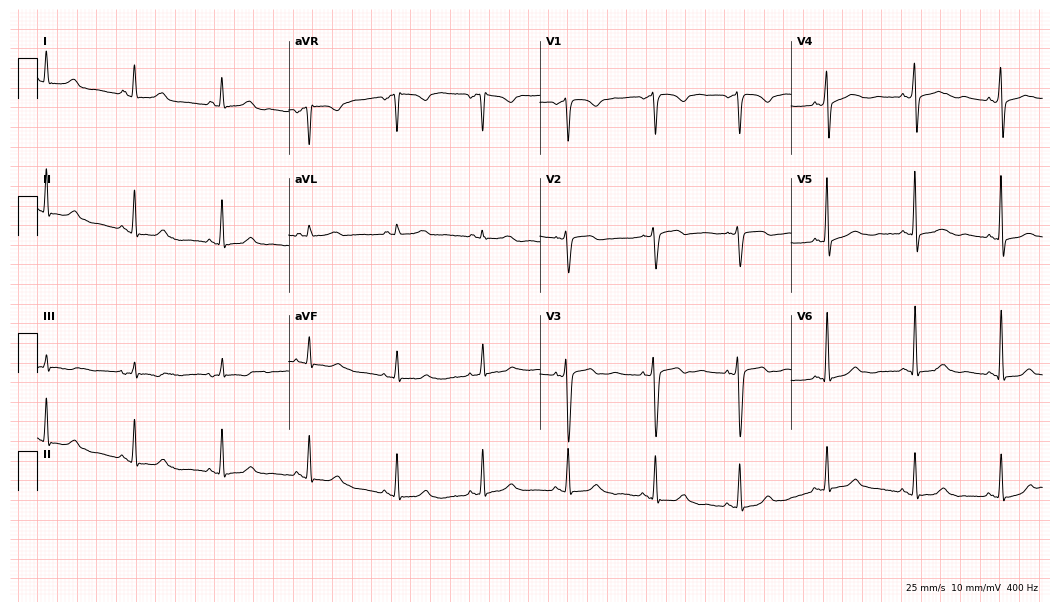
ECG — a female, 53 years old. Labelled as a normal ECG.